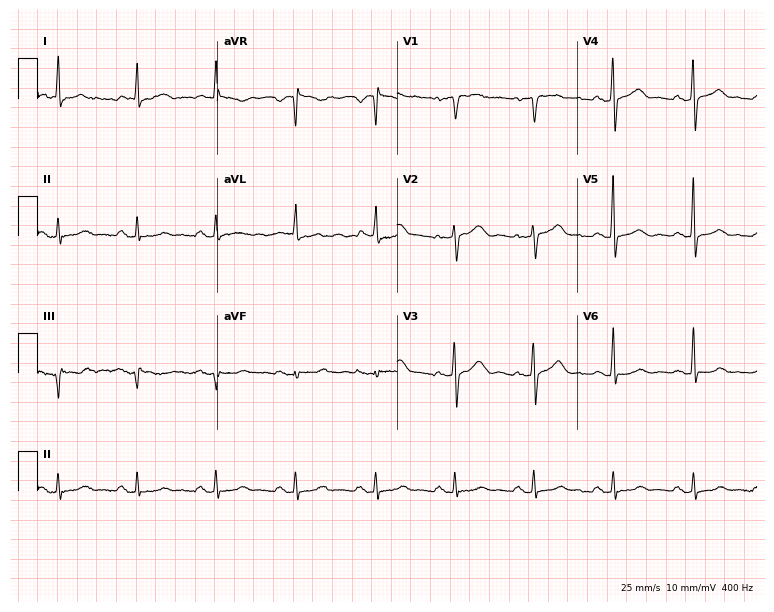
Resting 12-lead electrocardiogram. Patient: a 64-year-old woman. Read as a normal ECG.